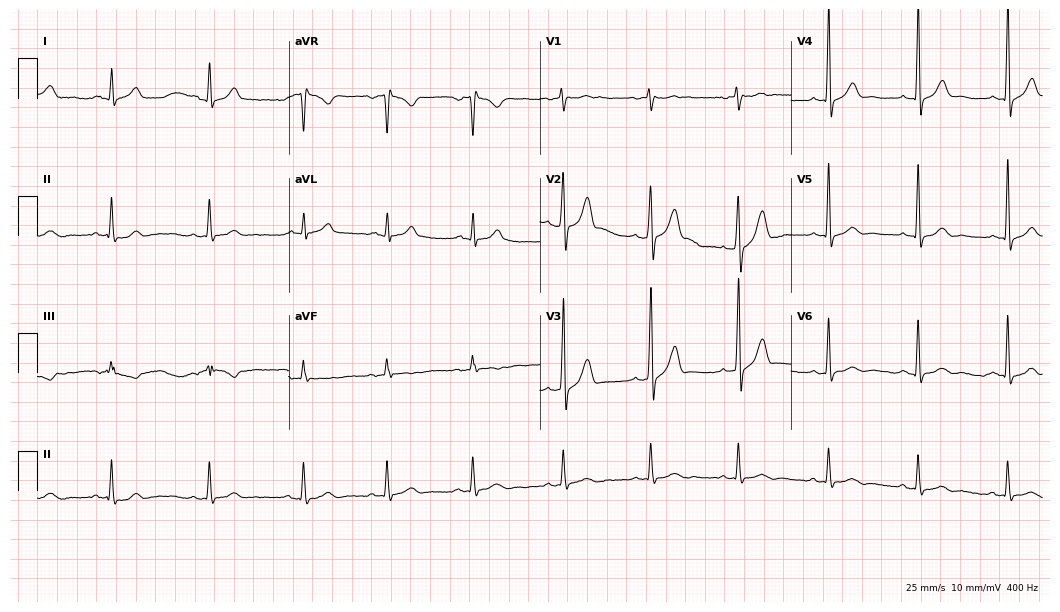
Standard 12-lead ECG recorded from a 40-year-old male (10.2-second recording at 400 Hz). Read as a normal ECG.